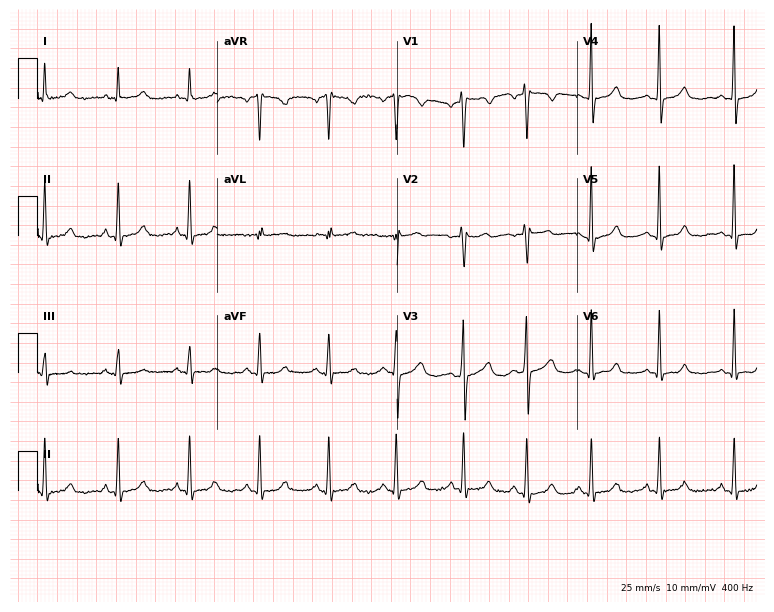
12-lead ECG (7.3-second recording at 400 Hz) from a 39-year-old female. Screened for six findings — first-degree AV block, right bundle branch block, left bundle branch block, sinus bradycardia, atrial fibrillation, sinus tachycardia — none is recorded.